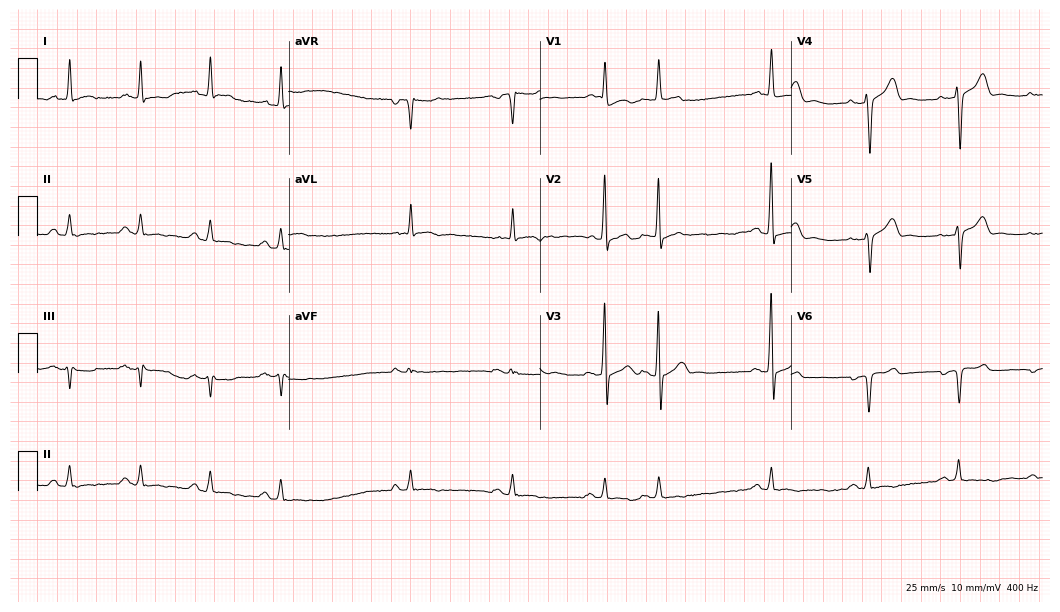
12-lead ECG from a male, 77 years old. Labelled as a normal ECG.